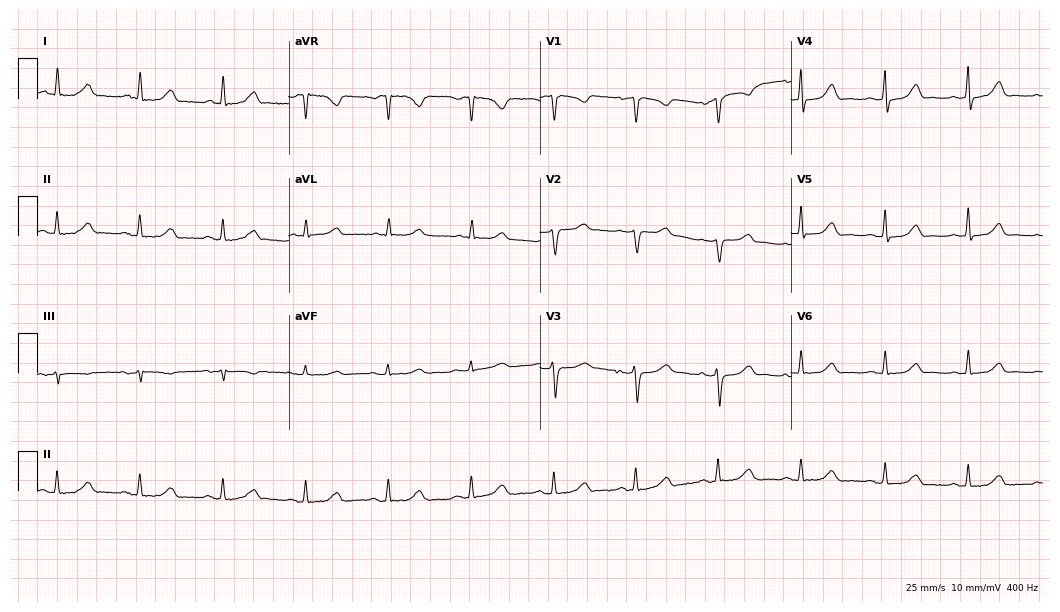
Standard 12-lead ECG recorded from a male patient, 54 years old (10.2-second recording at 400 Hz). Read as a normal ECG.